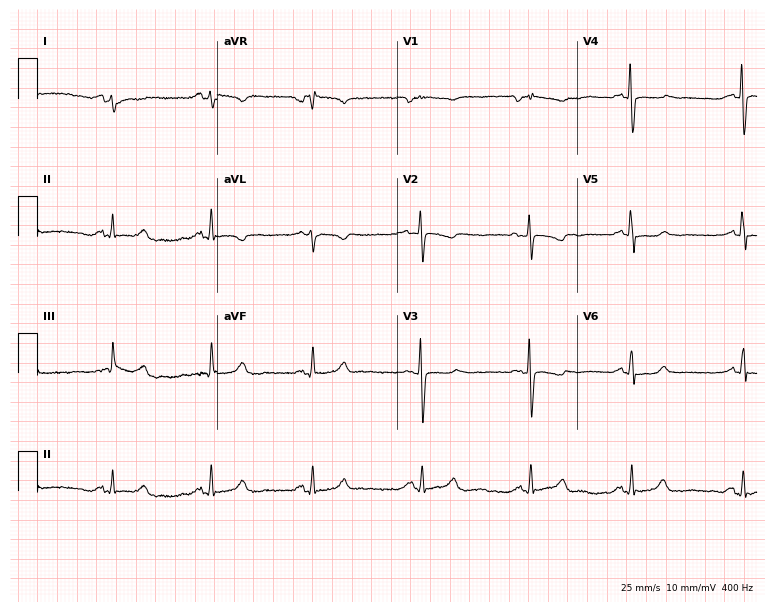
Resting 12-lead electrocardiogram (7.3-second recording at 400 Hz). Patient: a 27-year-old female. None of these six findings is recorded: first-degree AV block, right bundle branch block, left bundle branch block, sinus bradycardia, atrial fibrillation, sinus tachycardia.